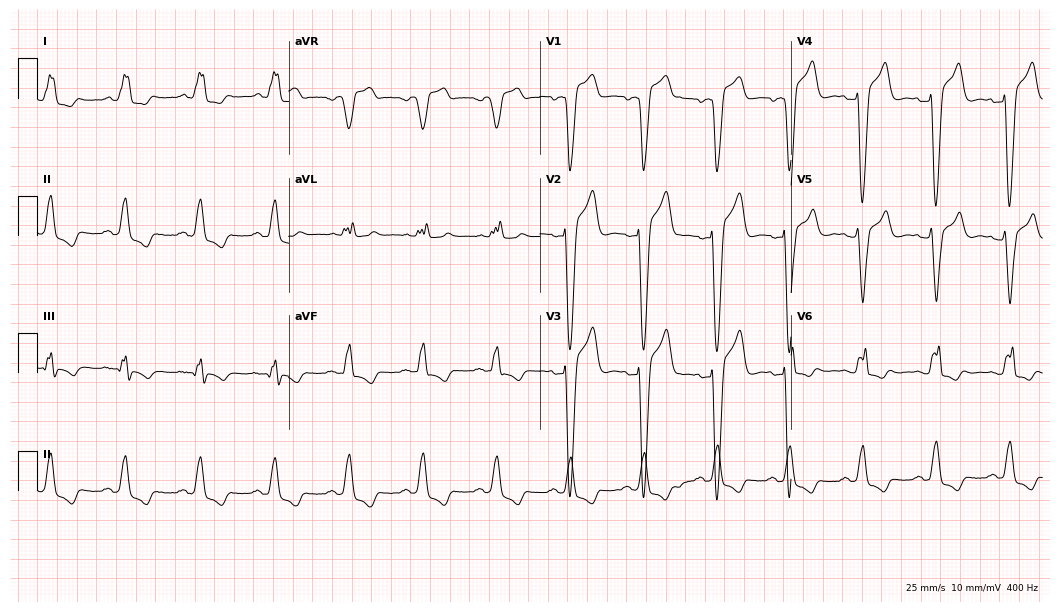
12-lead ECG from a male patient, 69 years old (10.2-second recording at 400 Hz). Shows left bundle branch block (LBBB).